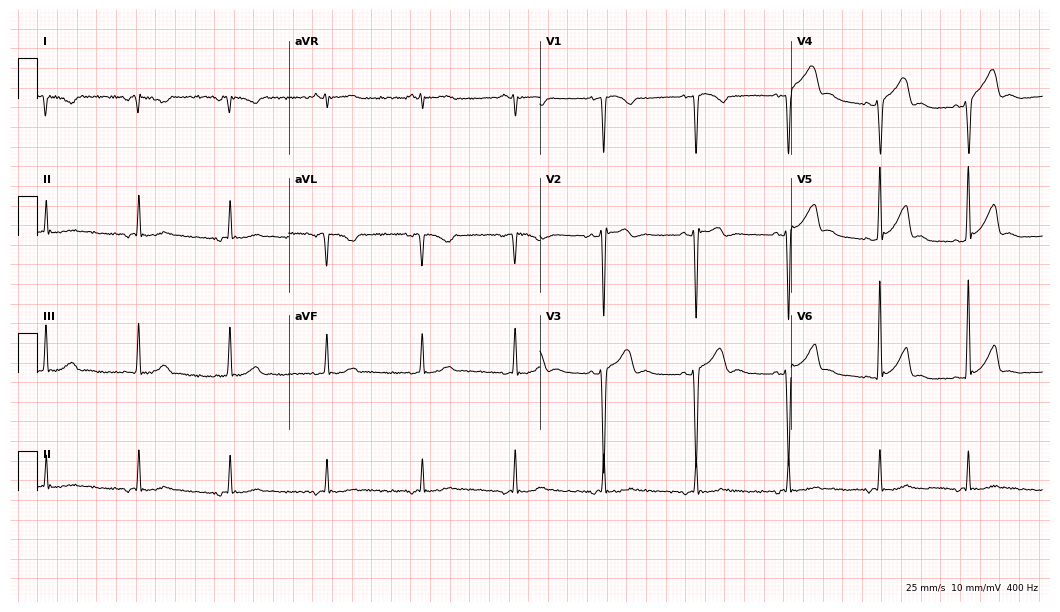
Resting 12-lead electrocardiogram (10.2-second recording at 400 Hz). Patient: a male, 30 years old. None of these six findings is recorded: first-degree AV block, right bundle branch block, left bundle branch block, sinus bradycardia, atrial fibrillation, sinus tachycardia. Other findings, if any, are not listed.